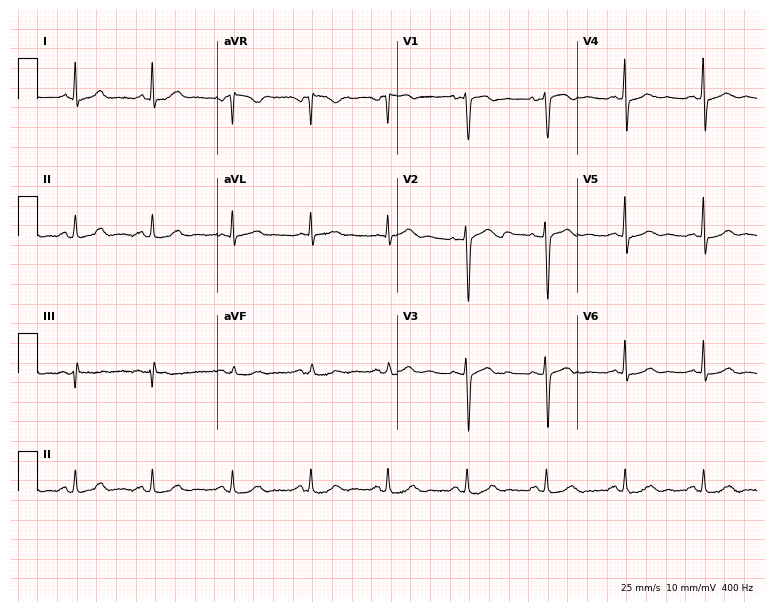
Standard 12-lead ECG recorded from a woman, 44 years old. None of these six findings is recorded: first-degree AV block, right bundle branch block, left bundle branch block, sinus bradycardia, atrial fibrillation, sinus tachycardia. Other findings, if any, are not listed.